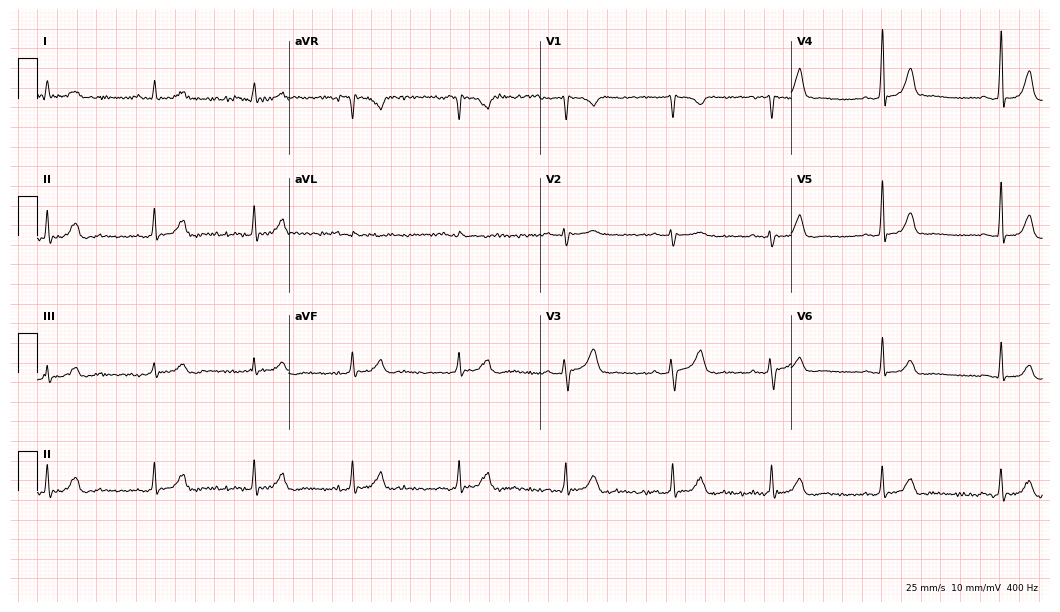
12-lead ECG from a 25-year-old male patient. Recorded interpretation: within normal limits.